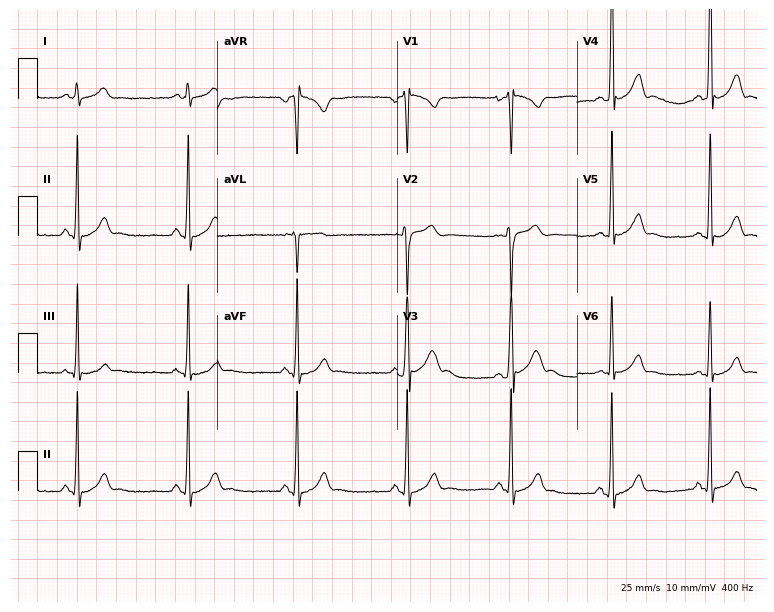
12-lead ECG from a 17-year-old man (7.3-second recording at 400 Hz). No first-degree AV block, right bundle branch block, left bundle branch block, sinus bradycardia, atrial fibrillation or sinus tachycardia recorded for this tracing. Only these six findings were labelled.